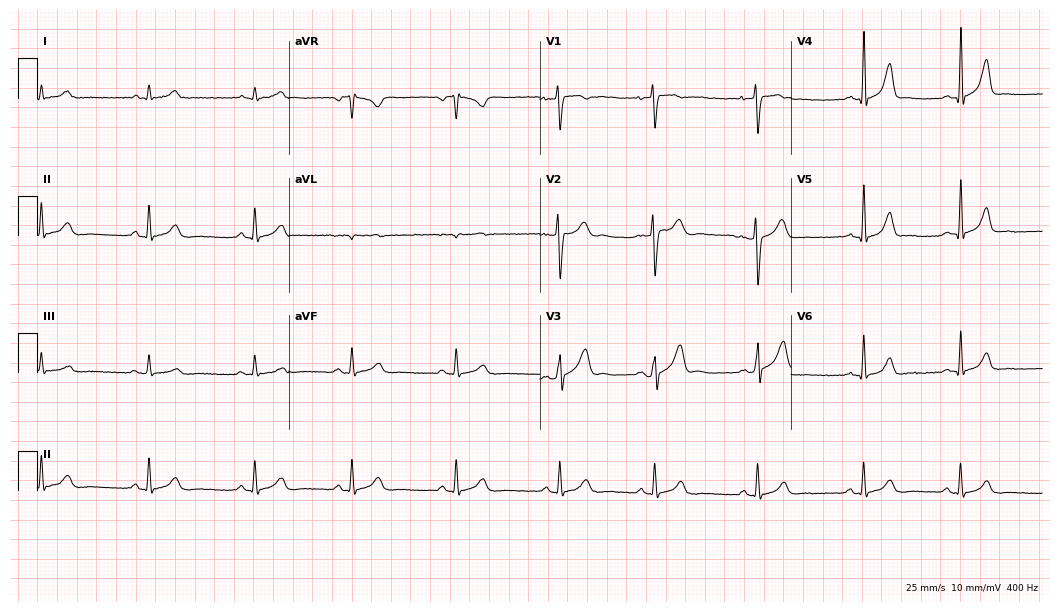
12-lead ECG from a 33-year-old female. No first-degree AV block, right bundle branch block, left bundle branch block, sinus bradycardia, atrial fibrillation or sinus tachycardia recorded for this tracing. Findings outside these six are not listed.